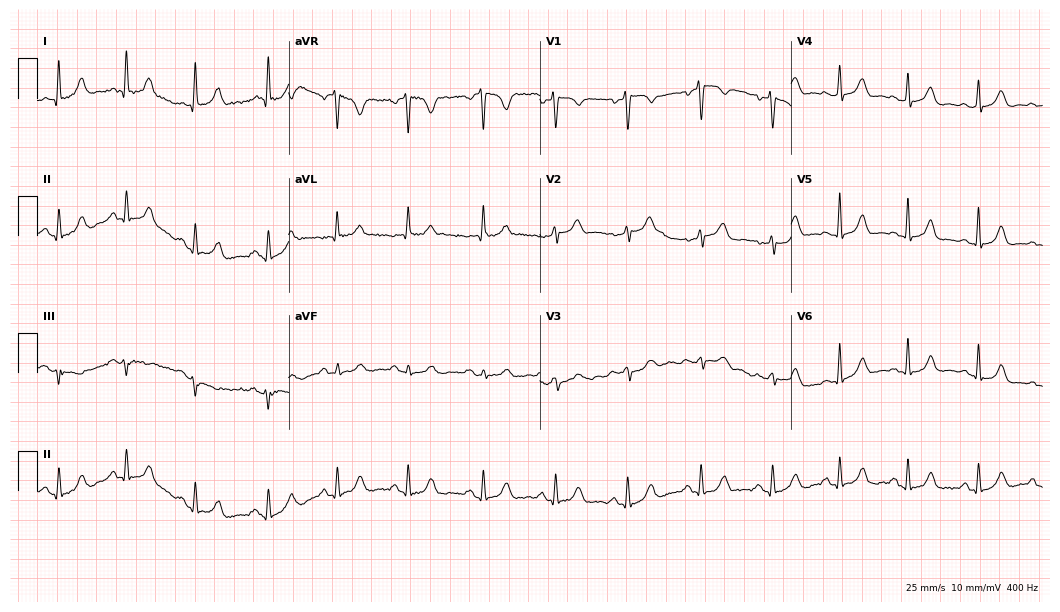
12-lead ECG from a female, 43 years old. Labelled as a normal ECG.